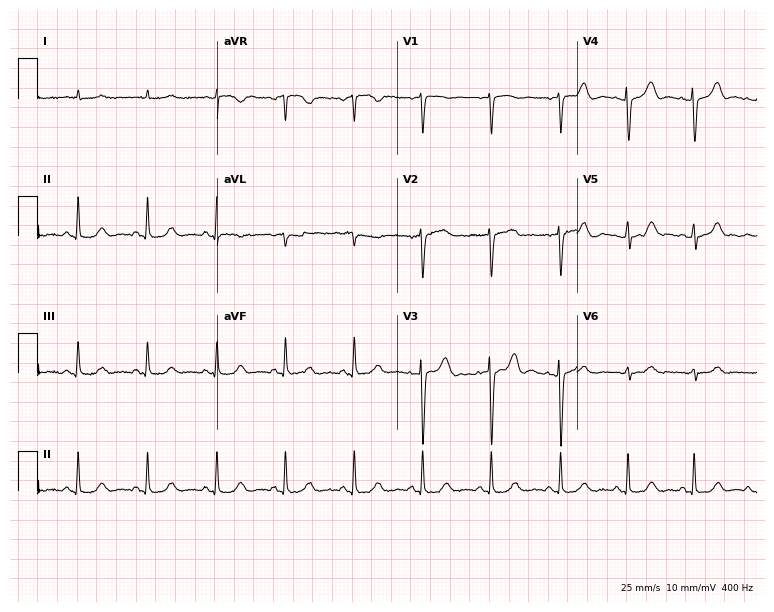
Resting 12-lead electrocardiogram (7.3-second recording at 400 Hz). Patient: an 80-year-old male. None of these six findings is recorded: first-degree AV block, right bundle branch block, left bundle branch block, sinus bradycardia, atrial fibrillation, sinus tachycardia. Findings outside these six are not listed.